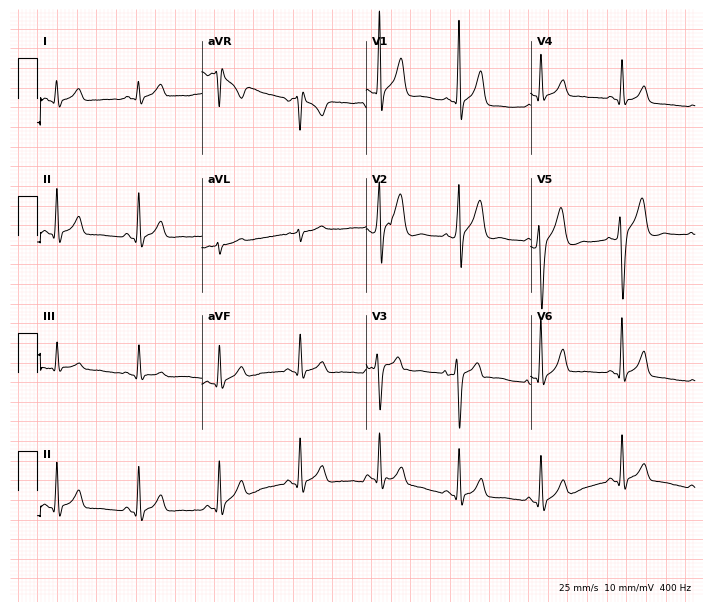
ECG (6.7-second recording at 400 Hz) — a male patient, 29 years old. Screened for six findings — first-degree AV block, right bundle branch block, left bundle branch block, sinus bradycardia, atrial fibrillation, sinus tachycardia — none is recorded. Findings outside these six are not listed.